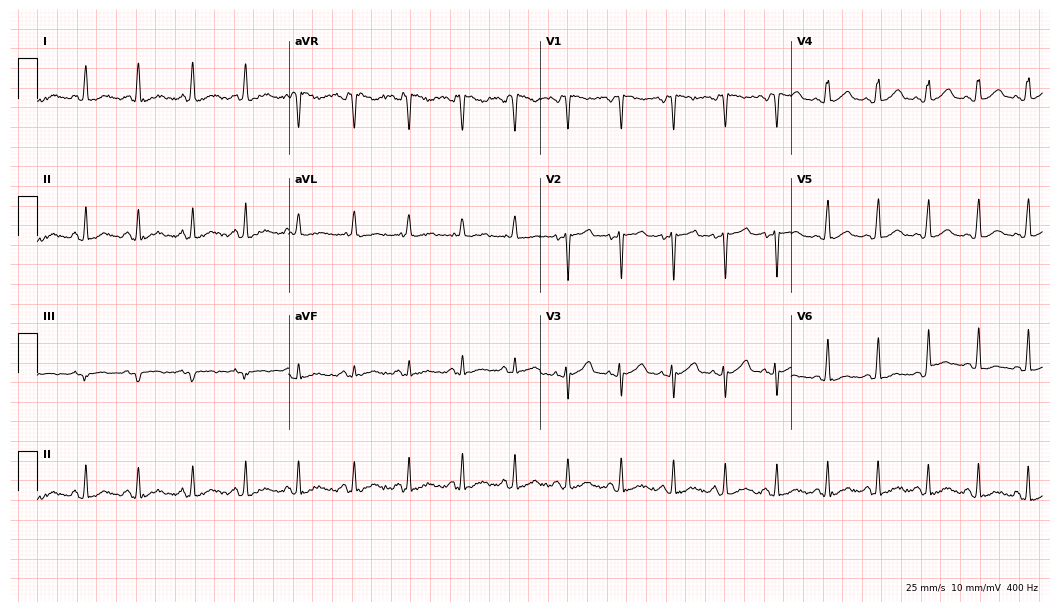
Resting 12-lead electrocardiogram (10.2-second recording at 400 Hz). Patient: a 48-year-old woman. The tracing shows sinus tachycardia (a sinus rate of 100 beats per minute or more).